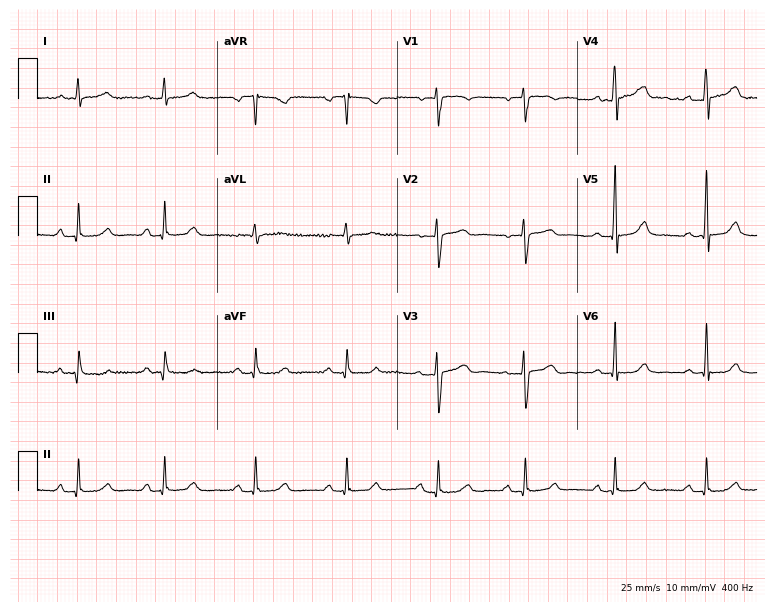
ECG — a woman, 45 years old. Labelled as a normal ECG.